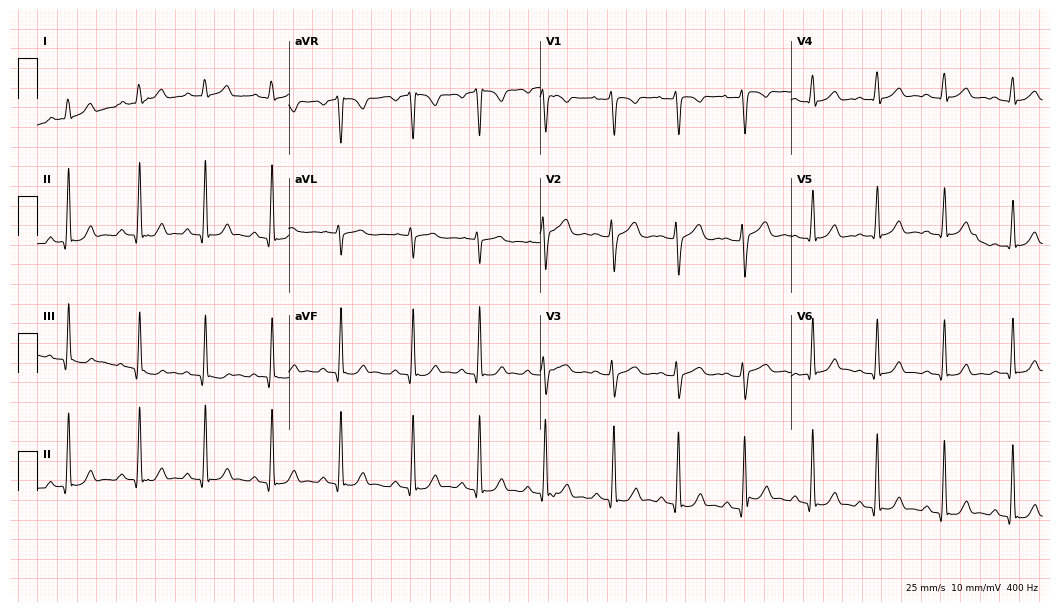
Standard 12-lead ECG recorded from a female, 23 years old. Read as a normal ECG.